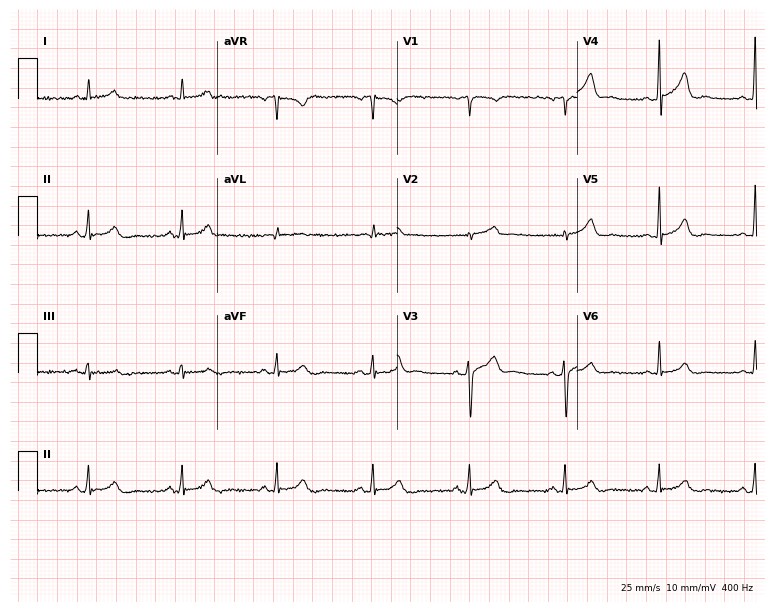
12-lead ECG from a male, 49 years old. Labelled as a normal ECG.